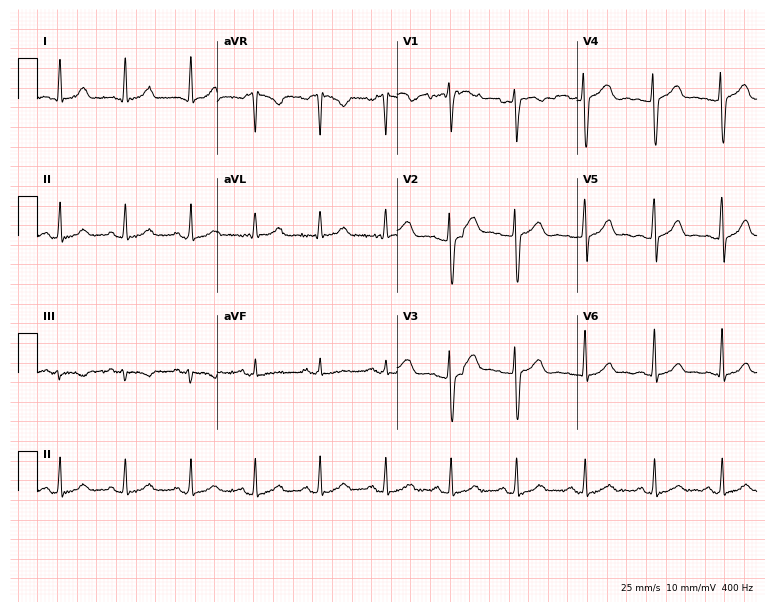
12-lead ECG from a female patient, 27 years old. Screened for six findings — first-degree AV block, right bundle branch block, left bundle branch block, sinus bradycardia, atrial fibrillation, sinus tachycardia — none is recorded. Findings outside these six are not listed.